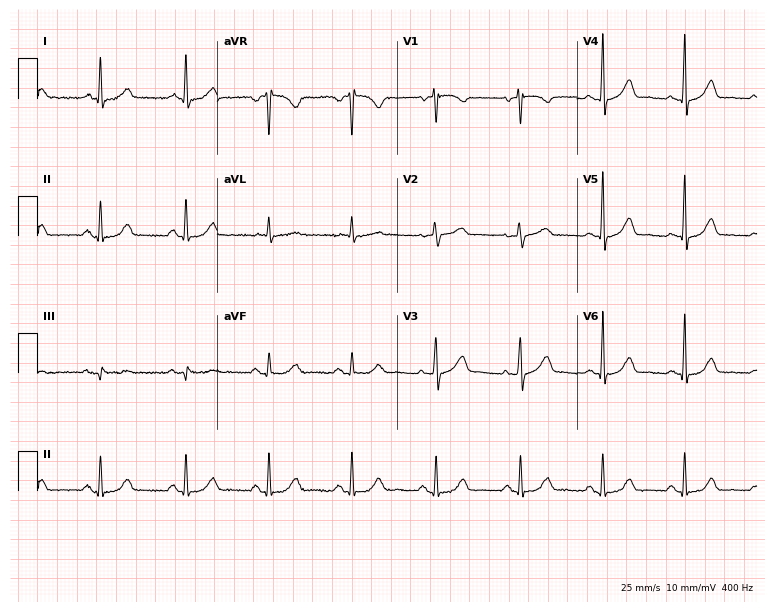
ECG (7.3-second recording at 400 Hz) — a 62-year-old female patient. Labelled as a normal ECG.